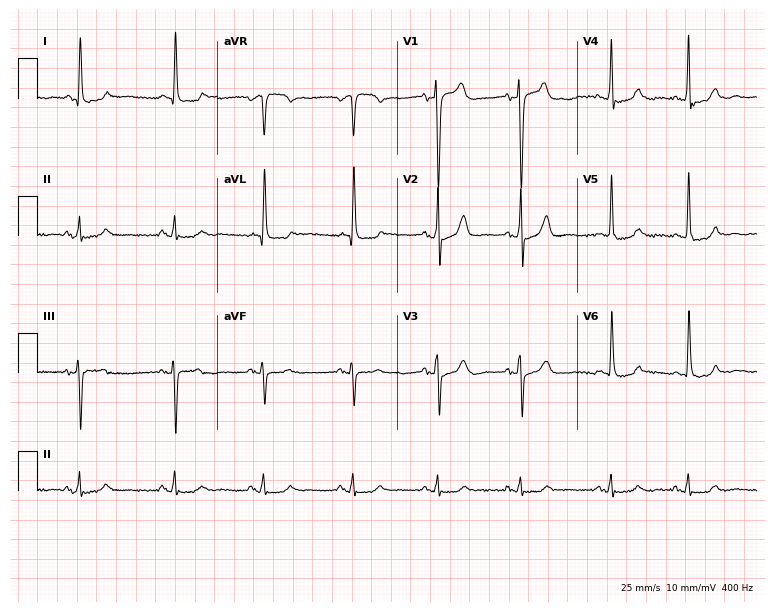
Electrocardiogram (7.3-second recording at 400 Hz), a male patient, 77 years old. Overall reading on record: normal ECG.